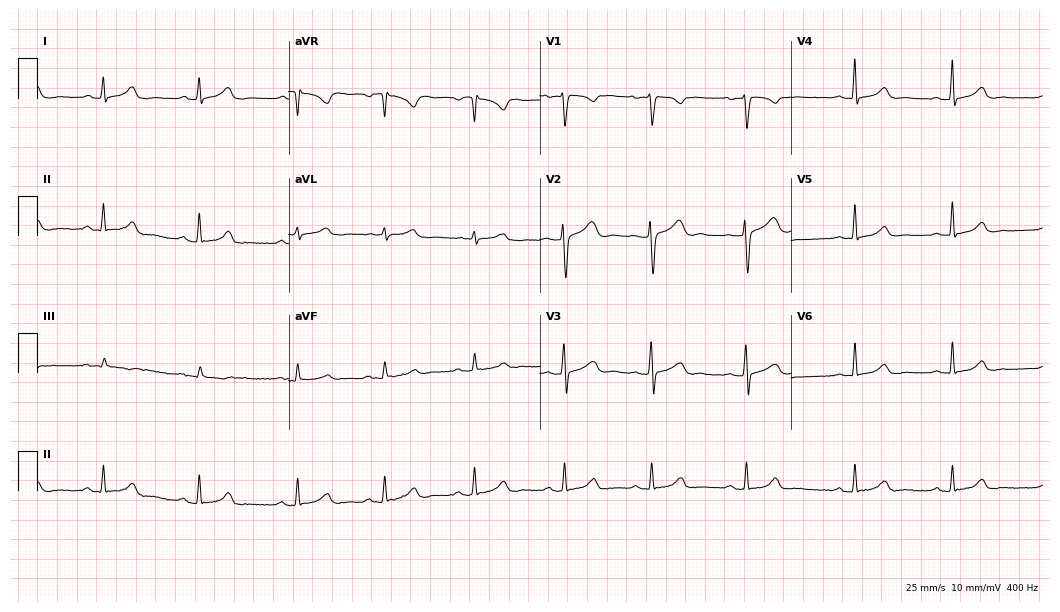
12-lead ECG from a female patient, 32 years old (10.2-second recording at 400 Hz). Recorded interpretation: within normal limits.